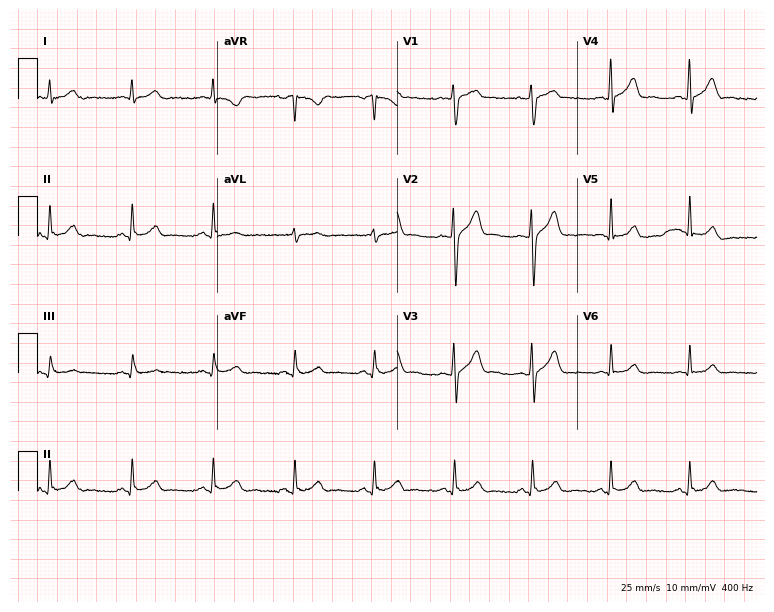
12-lead ECG from a 40-year-old man. Labelled as a normal ECG.